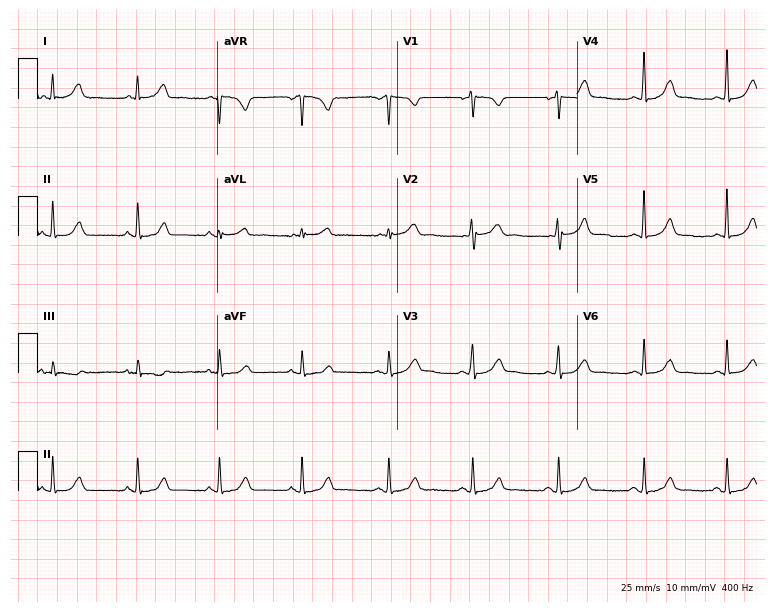
12-lead ECG from a female patient, 43 years old (7.3-second recording at 400 Hz). Recorded interpretation: within normal limits.